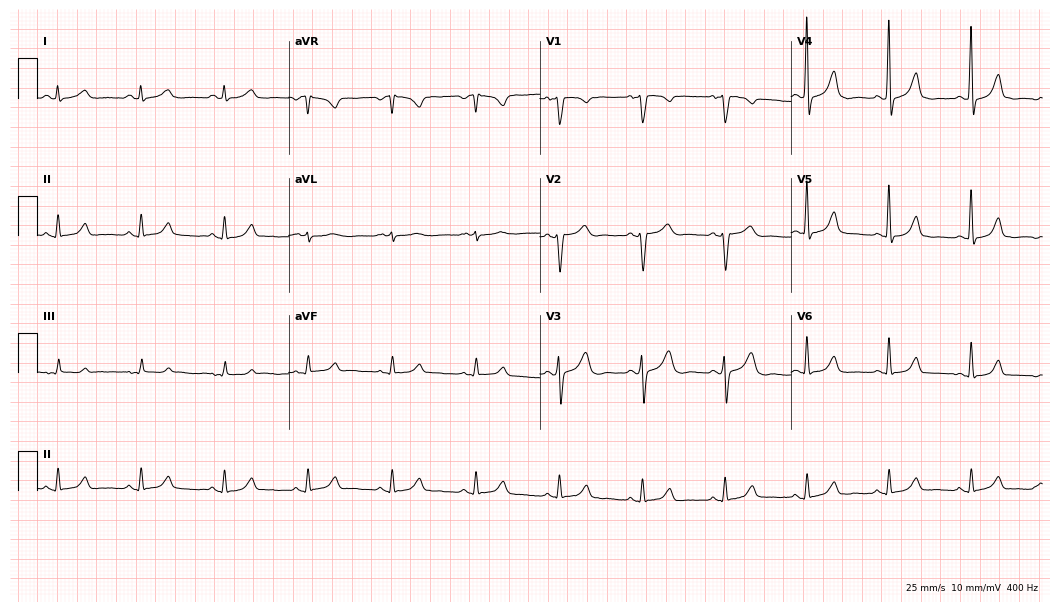
12-lead ECG from an 80-year-old woman. Labelled as a normal ECG.